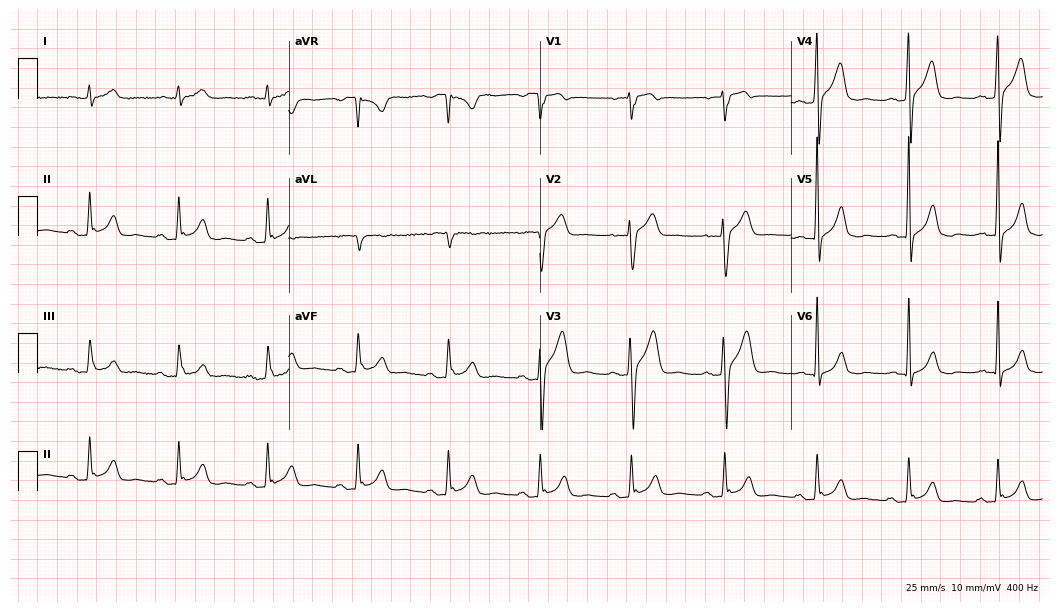
Electrocardiogram (10.2-second recording at 400 Hz), a male, 49 years old. Of the six screened findings (first-degree AV block, right bundle branch block (RBBB), left bundle branch block (LBBB), sinus bradycardia, atrial fibrillation (AF), sinus tachycardia), none is recorded.